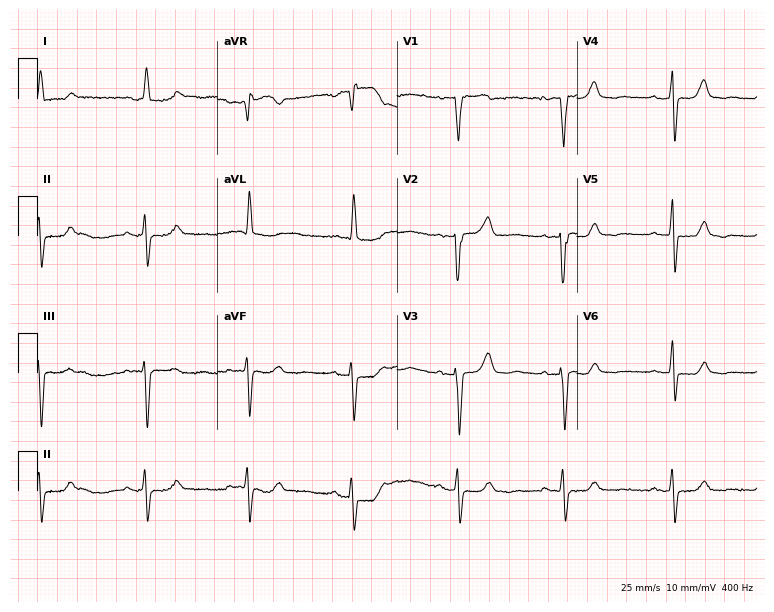
12-lead ECG from a 78-year-old female patient. Screened for six findings — first-degree AV block, right bundle branch block (RBBB), left bundle branch block (LBBB), sinus bradycardia, atrial fibrillation (AF), sinus tachycardia — none is recorded.